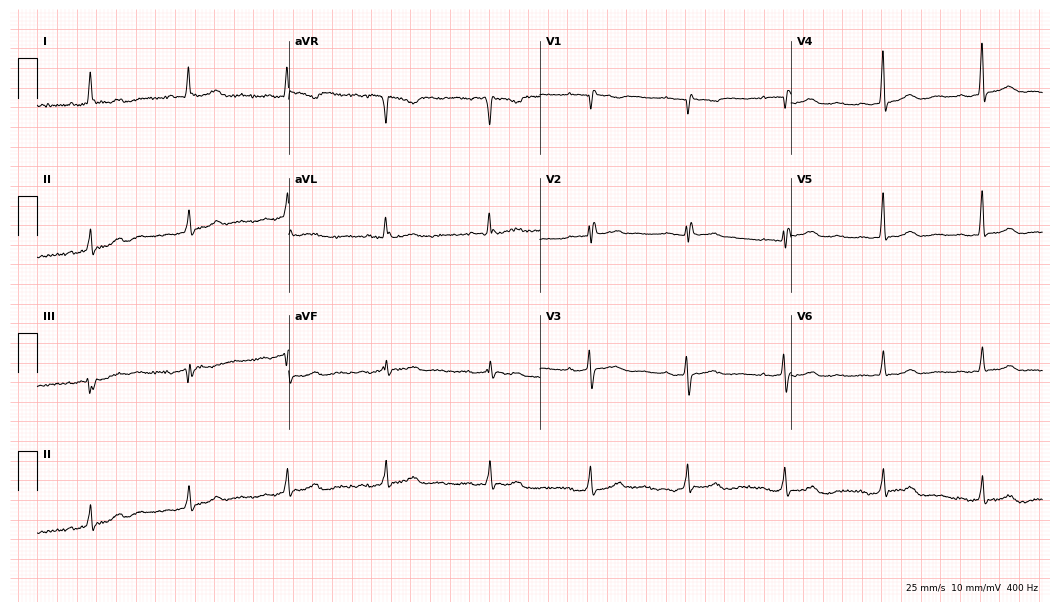
12-lead ECG (10.2-second recording at 400 Hz) from an 83-year-old woman. Findings include first-degree AV block.